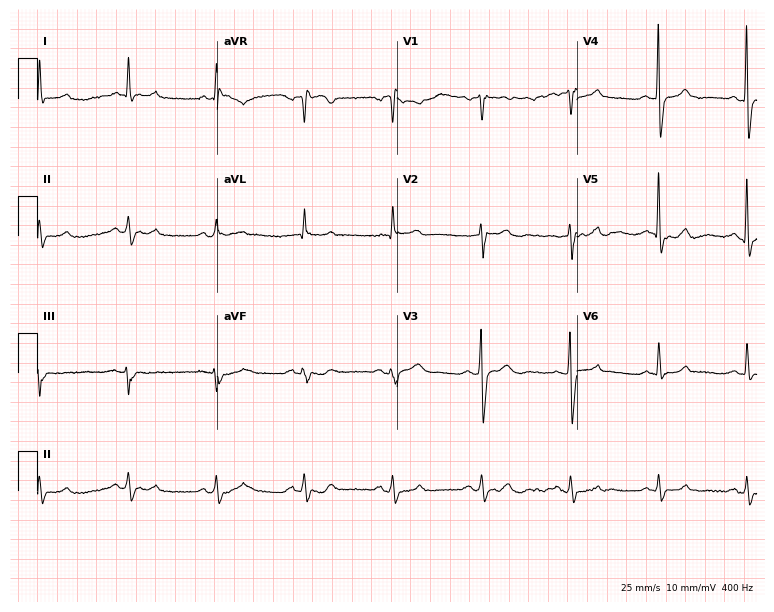
ECG (7.3-second recording at 400 Hz) — a 75-year-old male. Screened for six findings — first-degree AV block, right bundle branch block, left bundle branch block, sinus bradycardia, atrial fibrillation, sinus tachycardia — none is recorded.